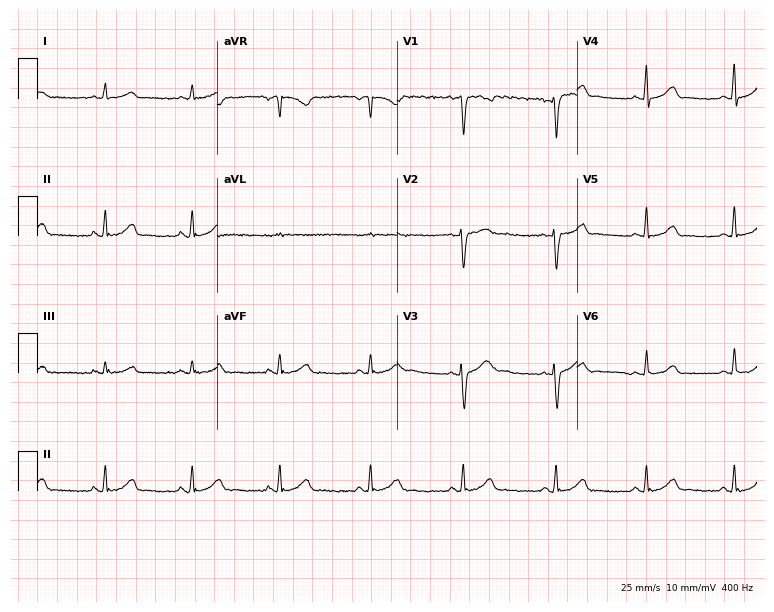
Electrocardiogram, a 29-year-old woman. Overall reading on record: normal ECG.